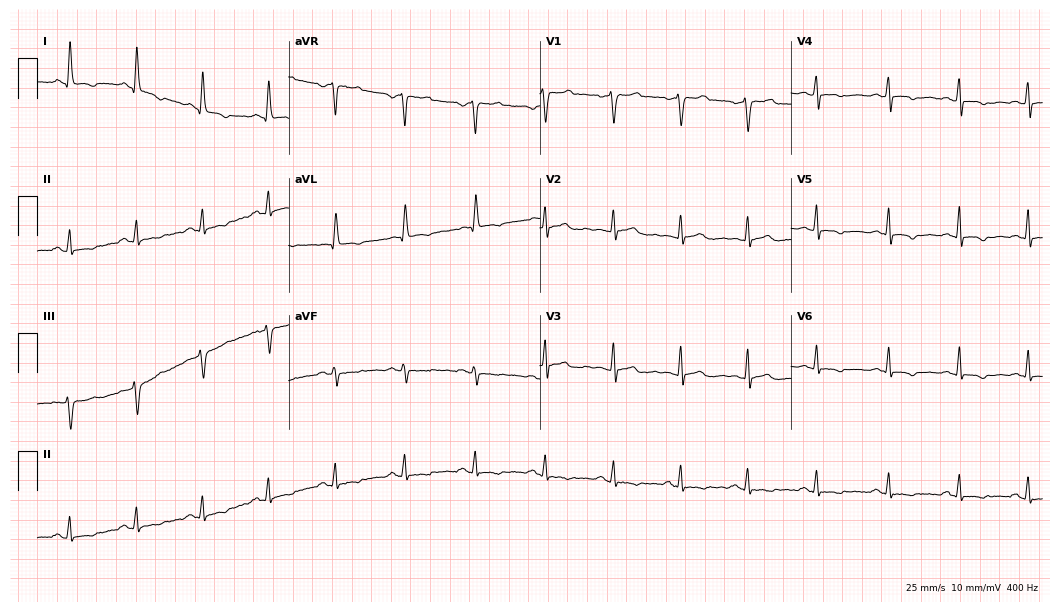
12-lead ECG from a female, 43 years old. No first-degree AV block, right bundle branch block (RBBB), left bundle branch block (LBBB), sinus bradycardia, atrial fibrillation (AF) or sinus tachycardia recorded for this tracing. Findings outside these six are not listed.